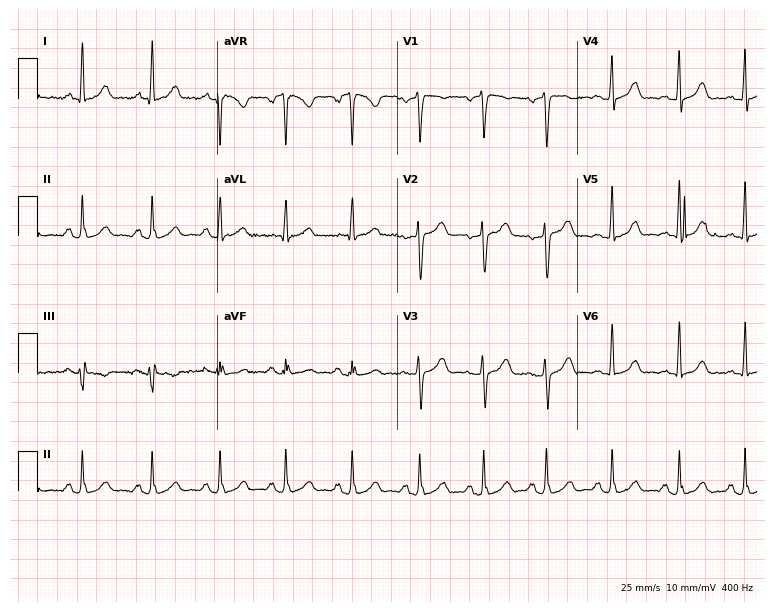
ECG — a female, 41 years old. Labelled as a normal ECG.